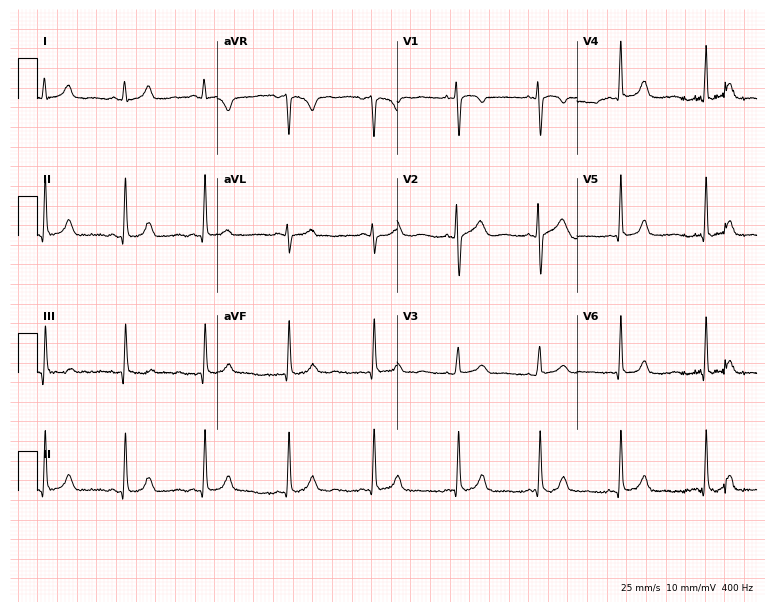
12-lead ECG from a female patient, 20 years old (7.3-second recording at 400 Hz). No first-degree AV block, right bundle branch block (RBBB), left bundle branch block (LBBB), sinus bradycardia, atrial fibrillation (AF) or sinus tachycardia recorded for this tracing. Only these six findings were labelled.